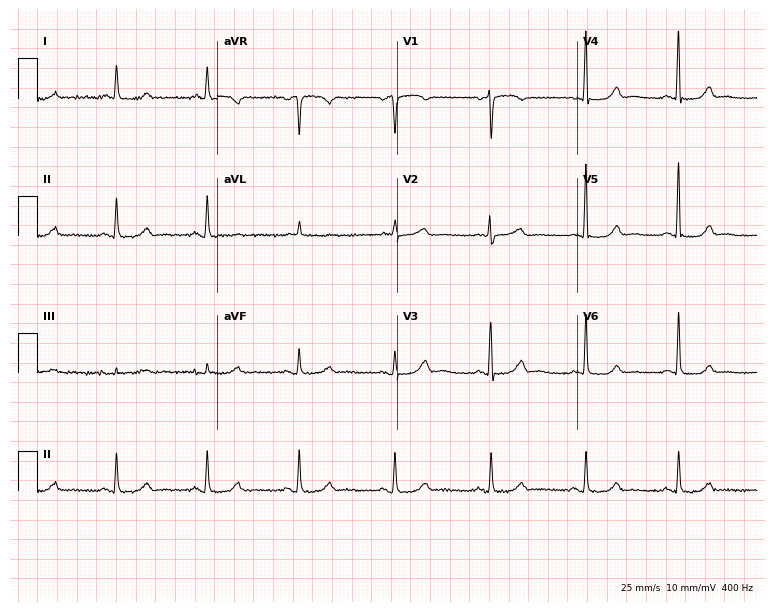
Electrocardiogram, a female, 71 years old. Of the six screened findings (first-degree AV block, right bundle branch block, left bundle branch block, sinus bradycardia, atrial fibrillation, sinus tachycardia), none is recorded. Only these six findings were labelled.